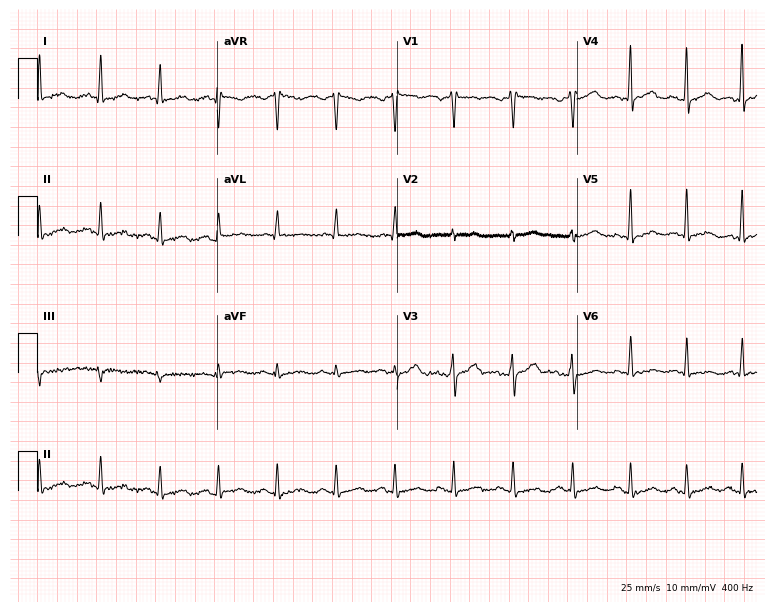
Standard 12-lead ECG recorded from a male patient, 43 years old. None of these six findings is recorded: first-degree AV block, right bundle branch block, left bundle branch block, sinus bradycardia, atrial fibrillation, sinus tachycardia.